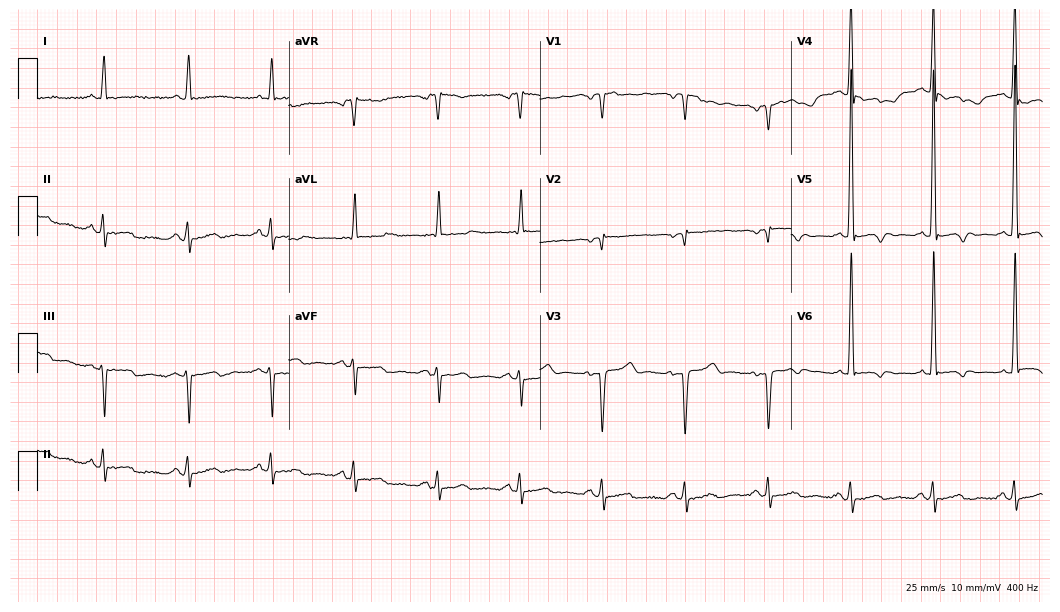
Electrocardiogram, a 57-year-old male patient. Of the six screened findings (first-degree AV block, right bundle branch block, left bundle branch block, sinus bradycardia, atrial fibrillation, sinus tachycardia), none is recorded. Other findings, if any, are not listed.